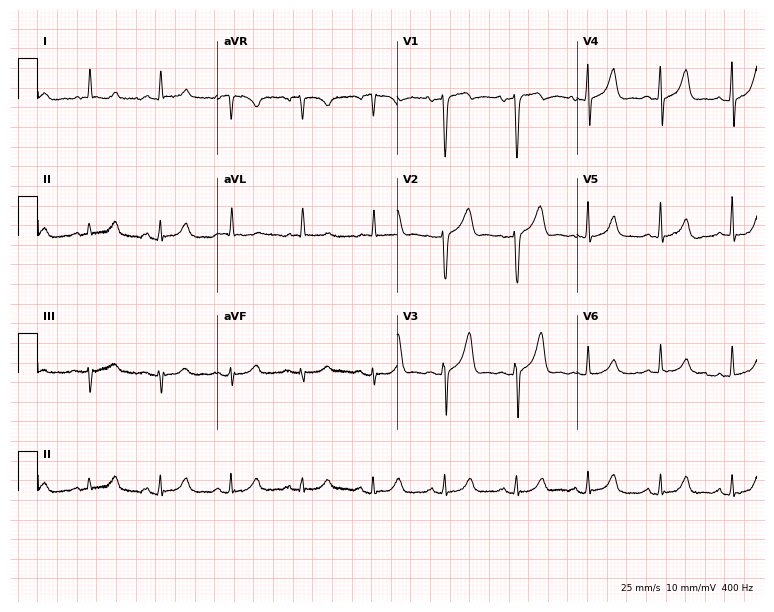
12-lead ECG from a 58-year-old male patient. Screened for six findings — first-degree AV block, right bundle branch block, left bundle branch block, sinus bradycardia, atrial fibrillation, sinus tachycardia — none is recorded. Findings outside these six are not listed.